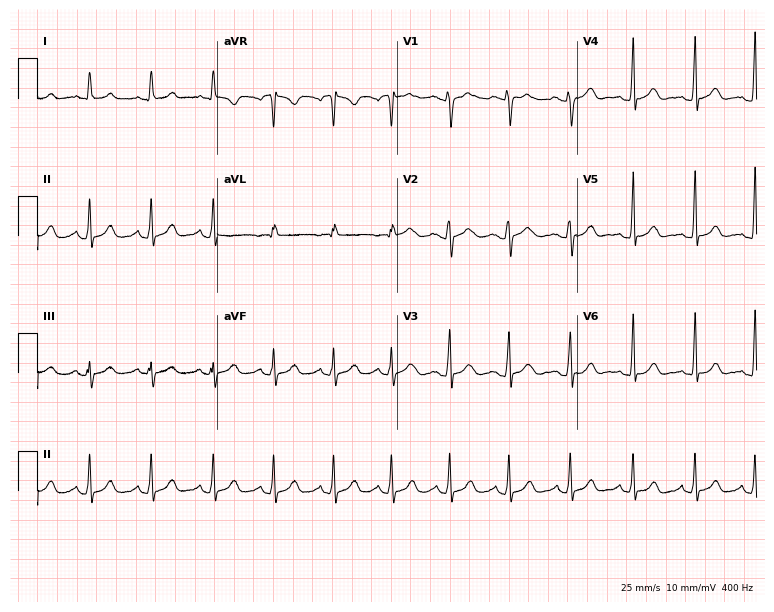
12-lead ECG (7.3-second recording at 400 Hz) from a female, 25 years old. Labelled as a normal ECG.